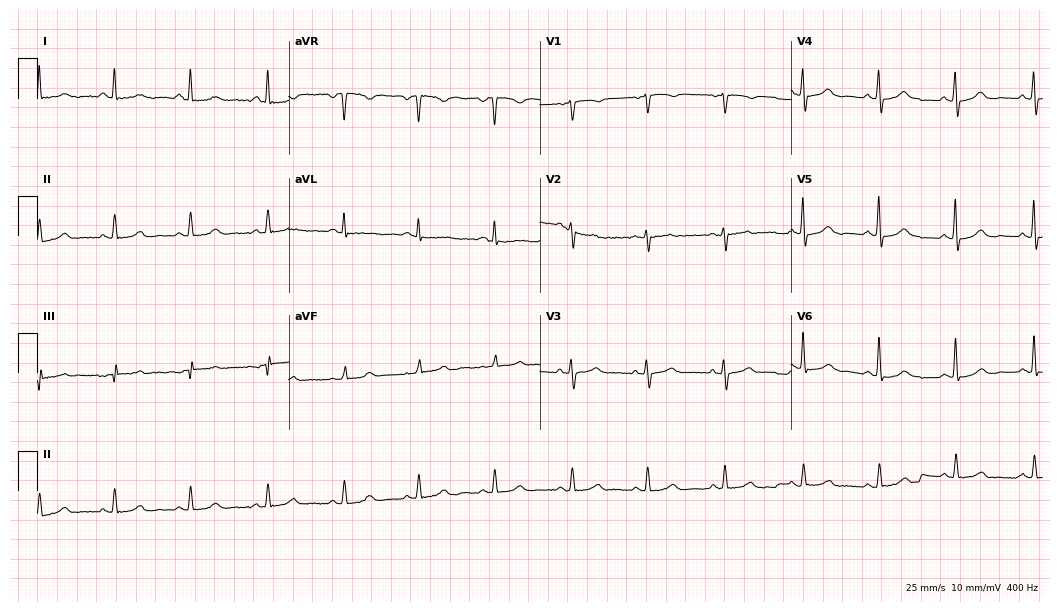
Resting 12-lead electrocardiogram (10.2-second recording at 400 Hz). Patient: a woman, 70 years old. Read as a normal ECG.